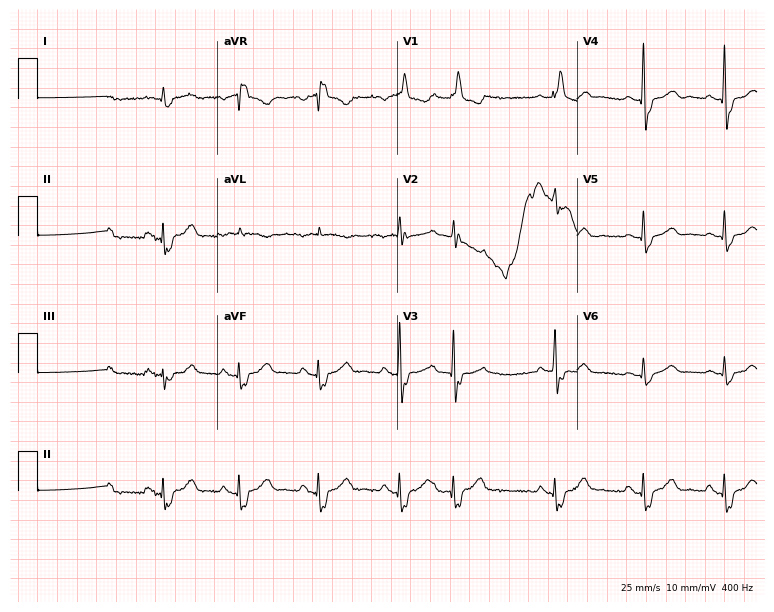
Resting 12-lead electrocardiogram. Patient: a 77-year-old male. The tracing shows right bundle branch block.